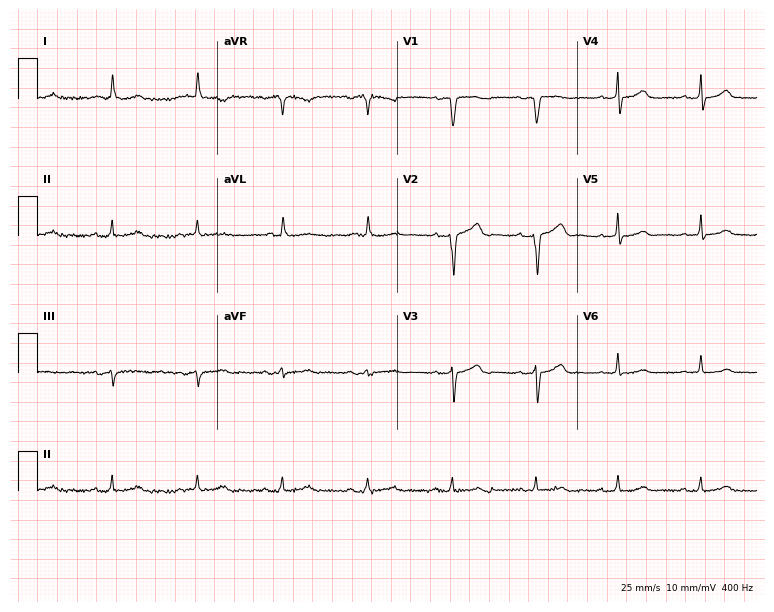
Resting 12-lead electrocardiogram. Patient: a female, 71 years old. Read as a normal ECG.